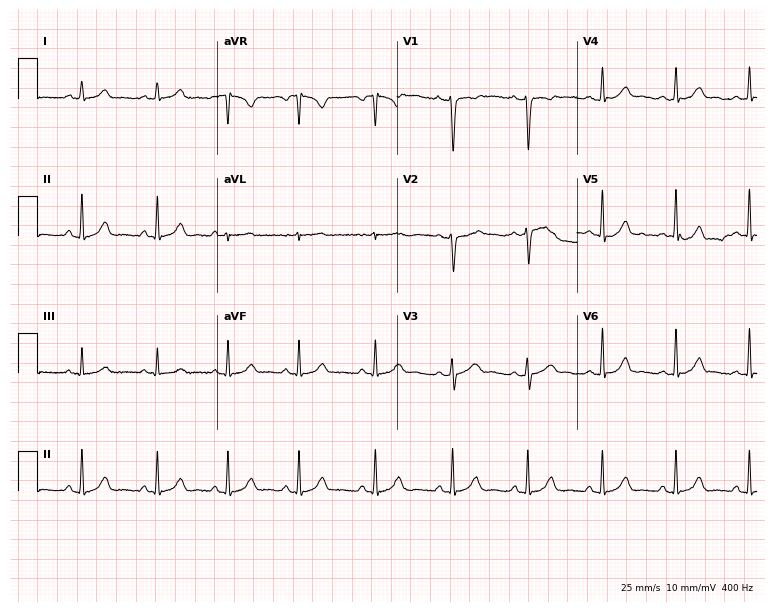
12-lead ECG from an 18-year-old woman (7.3-second recording at 400 Hz). Recorded interpretation: within normal limits.